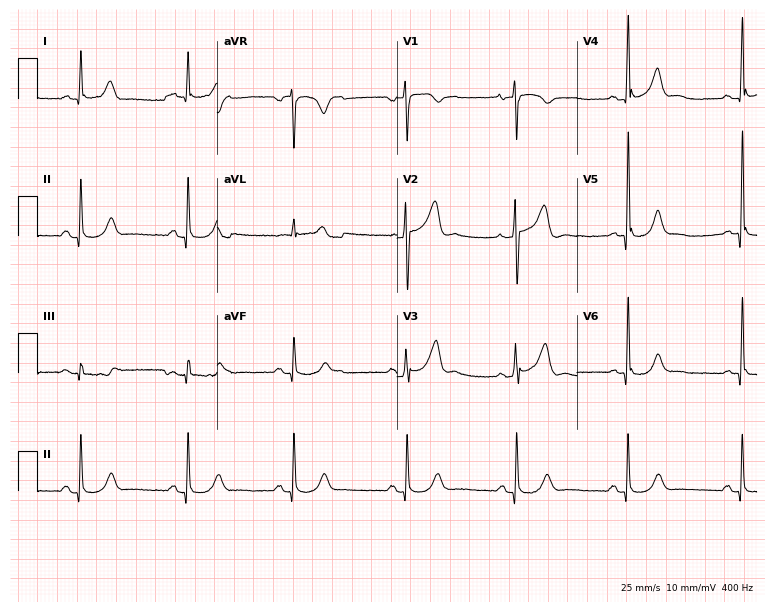
12-lead ECG (7.3-second recording at 400 Hz) from a male, 65 years old. Labelled as a normal ECG.